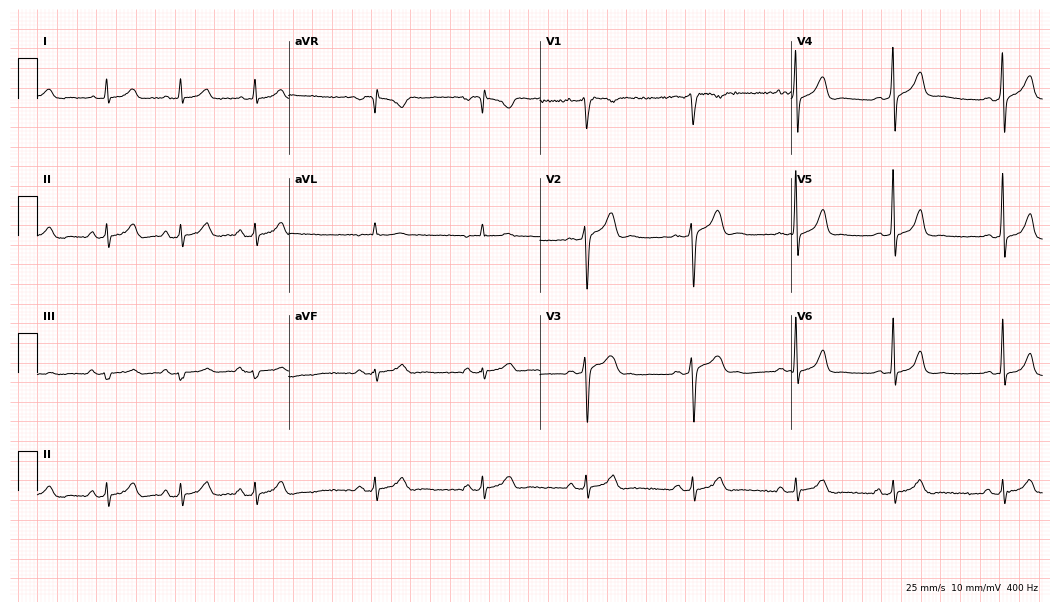
Resting 12-lead electrocardiogram. Patient: a male, 21 years old. None of these six findings is recorded: first-degree AV block, right bundle branch block, left bundle branch block, sinus bradycardia, atrial fibrillation, sinus tachycardia. Other findings, if any, are not listed.